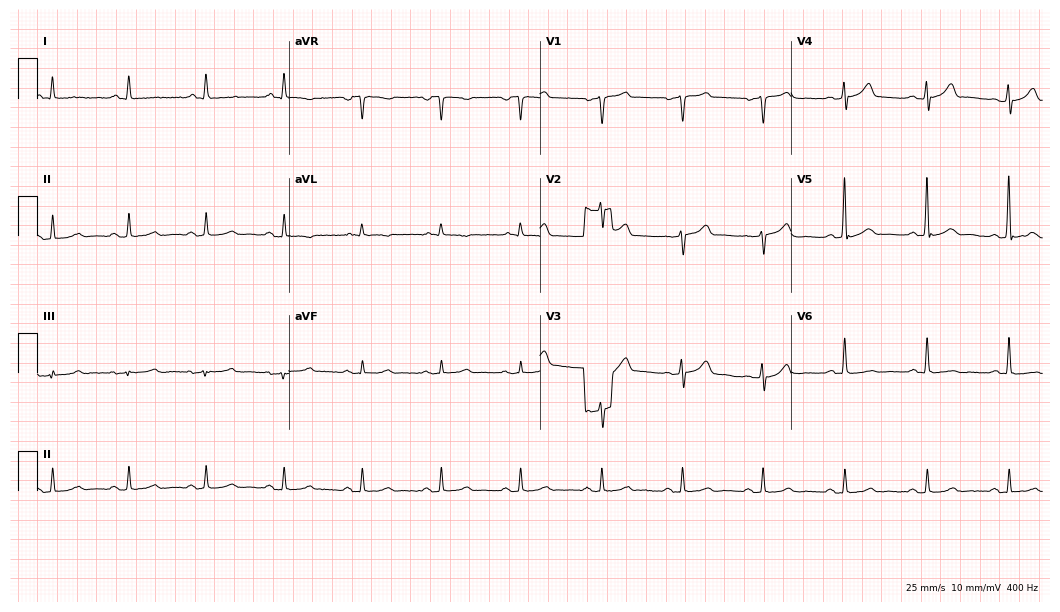
Electrocardiogram (10.2-second recording at 400 Hz), a male, 66 years old. Of the six screened findings (first-degree AV block, right bundle branch block, left bundle branch block, sinus bradycardia, atrial fibrillation, sinus tachycardia), none is recorded. Only these six findings were labelled.